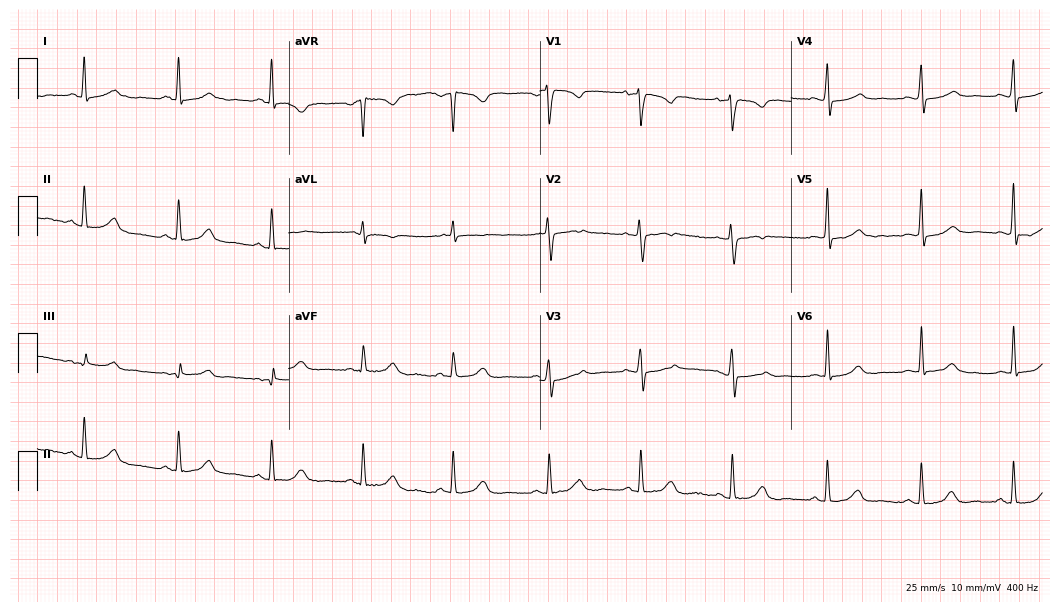
ECG (10.2-second recording at 400 Hz) — a 49-year-old woman. Labelled as a normal ECG.